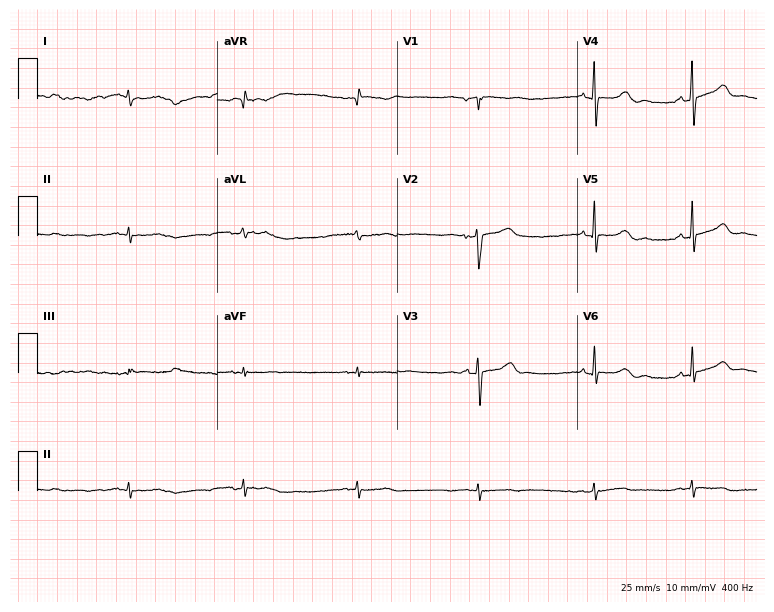
Standard 12-lead ECG recorded from a female, 29 years old (7.3-second recording at 400 Hz). Read as a normal ECG.